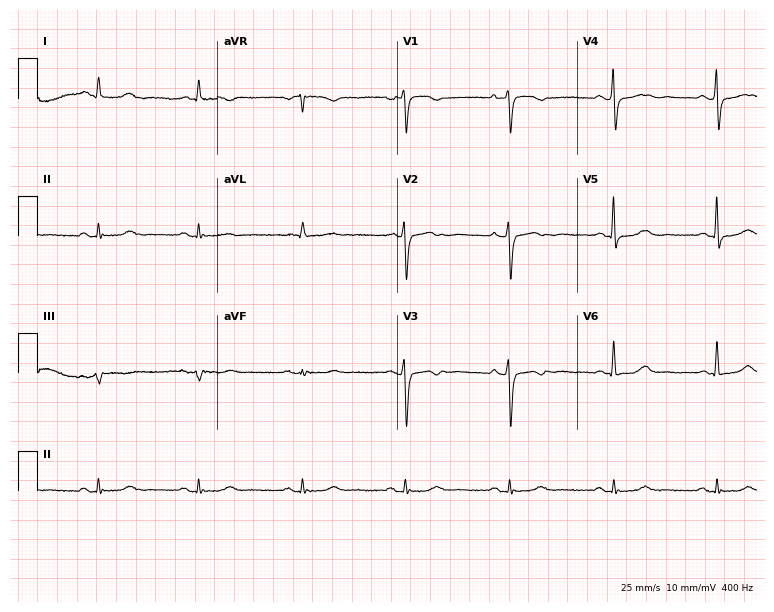
Electrocardiogram (7.3-second recording at 400 Hz), a female, 64 years old. Of the six screened findings (first-degree AV block, right bundle branch block, left bundle branch block, sinus bradycardia, atrial fibrillation, sinus tachycardia), none is recorded.